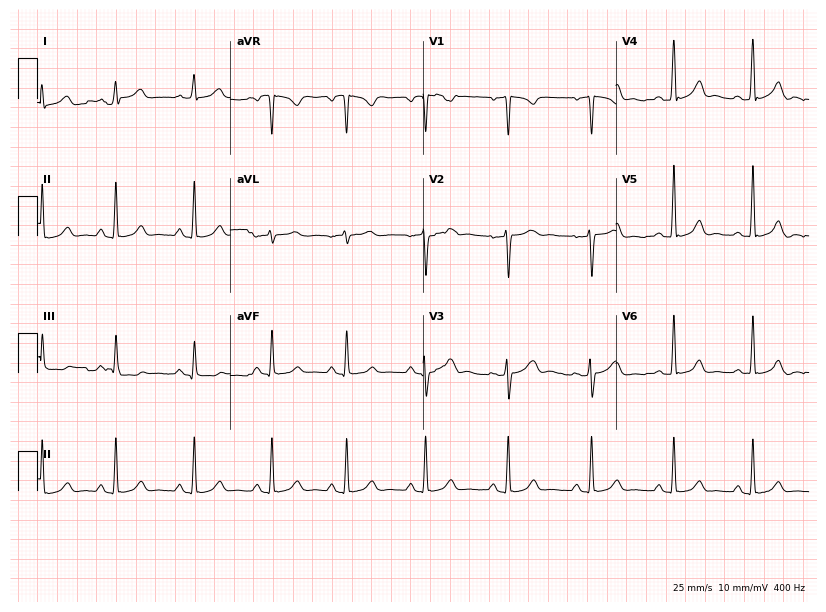
ECG — a woman, 28 years old. Labelled as a normal ECG.